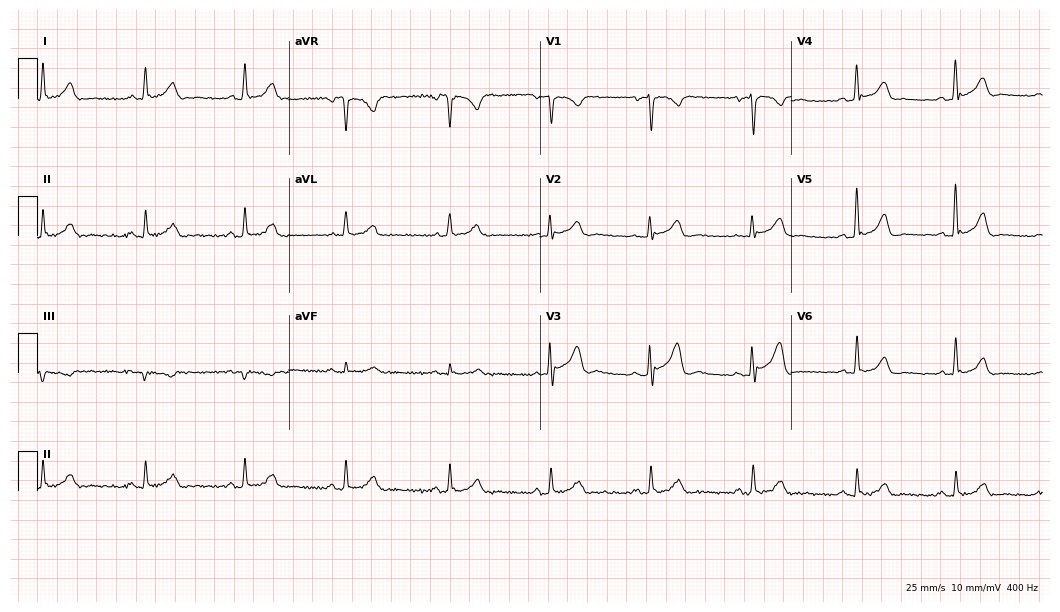
12-lead ECG from a 34-year-old male. Recorded interpretation: within normal limits.